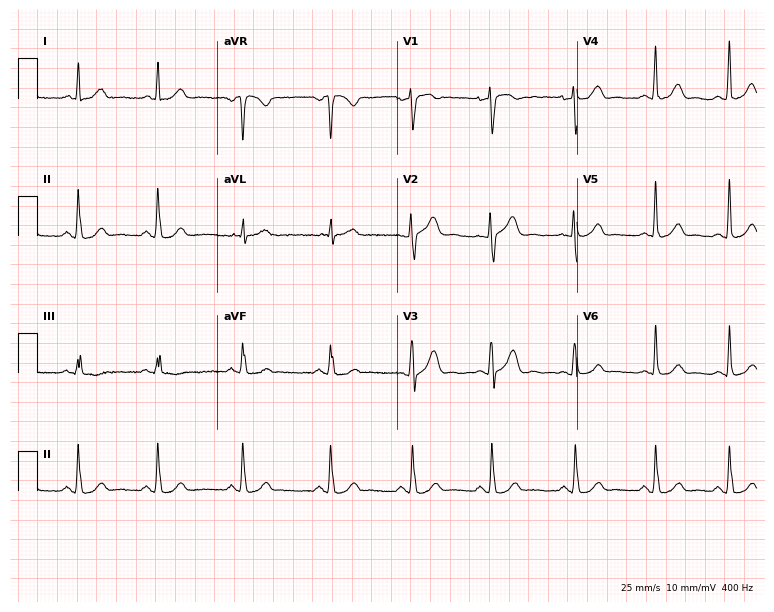
Electrocardiogram (7.3-second recording at 400 Hz), a 23-year-old female. Overall reading on record: normal ECG.